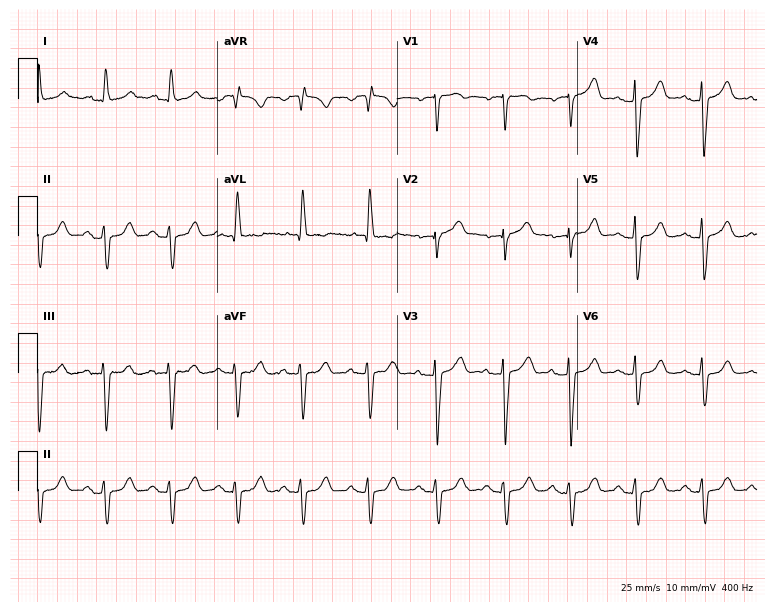
Resting 12-lead electrocardiogram (7.3-second recording at 400 Hz). Patient: a 68-year-old woman. None of these six findings is recorded: first-degree AV block, right bundle branch block, left bundle branch block, sinus bradycardia, atrial fibrillation, sinus tachycardia.